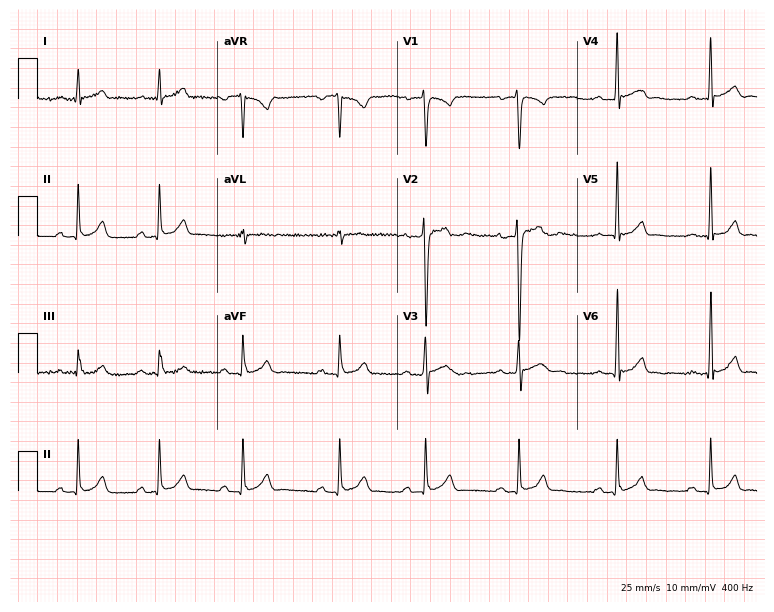
12-lead ECG from a 19-year-old male patient. Recorded interpretation: within normal limits.